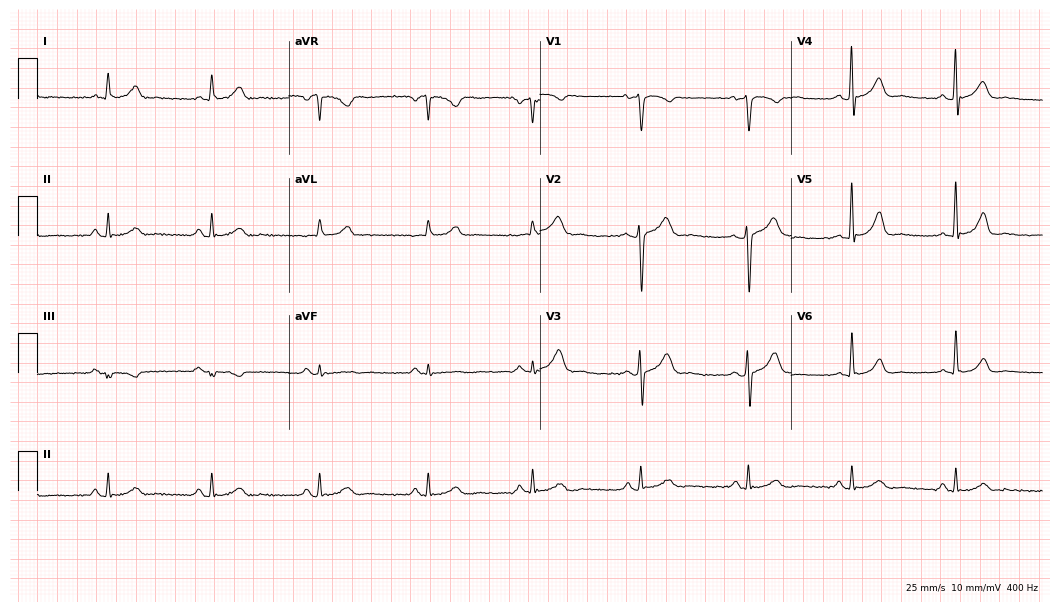
Standard 12-lead ECG recorded from a male patient, 36 years old. Read as a normal ECG.